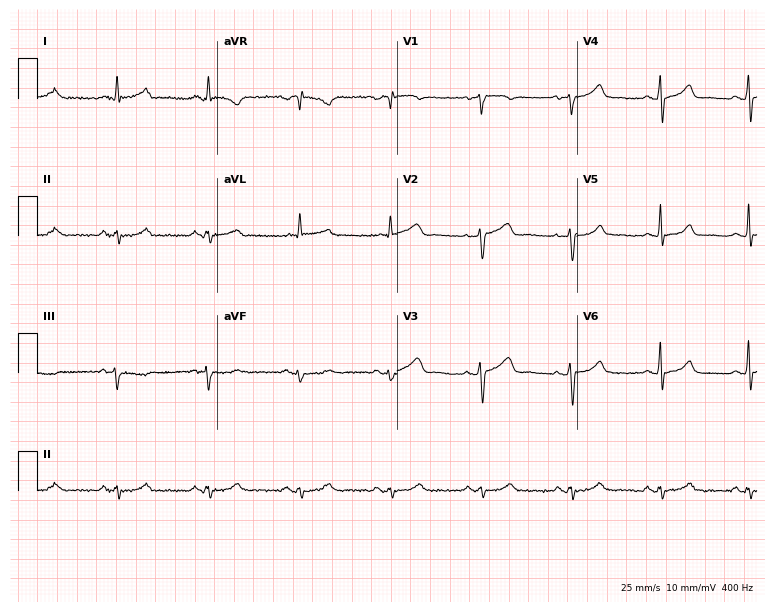
Electrocardiogram, a male patient, 54 years old. Of the six screened findings (first-degree AV block, right bundle branch block, left bundle branch block, sinus bradycardia, atrial fibrillation, sinus tachycardia), none is recorded.